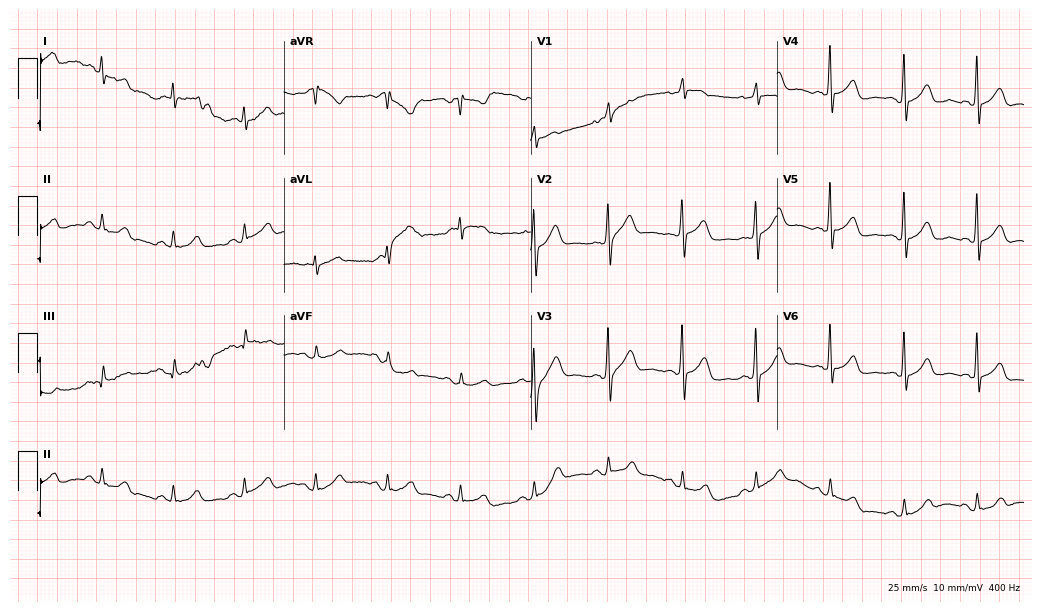
Resting 12-lead electrocardiogram (10.1-second recording at 400 Hz). Patient: a 74-year-old man. Read as a normal ECG.